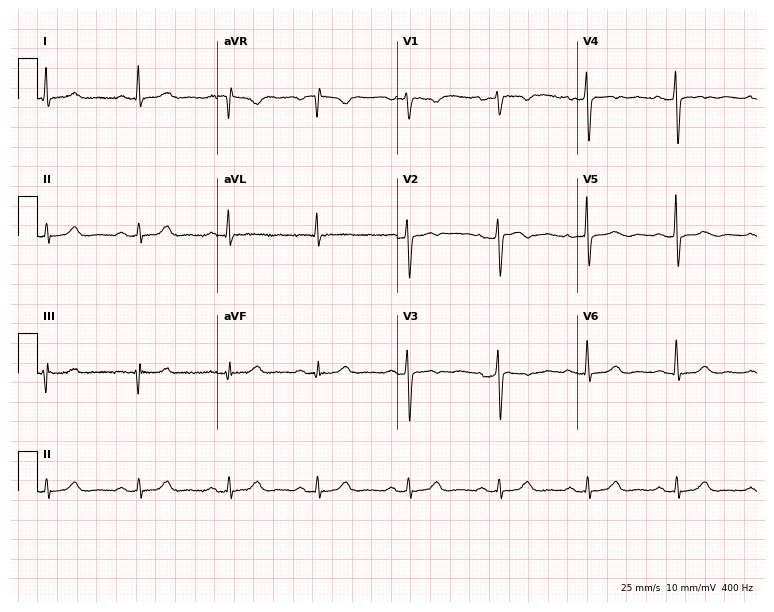
12-lead ECG from a 55-year-old female. No first-degree AV block, right bundle branch block, left bundle branch block, sinus bradycardia, atrial fibrillation or sinus tachycardia recorded for this tracing.